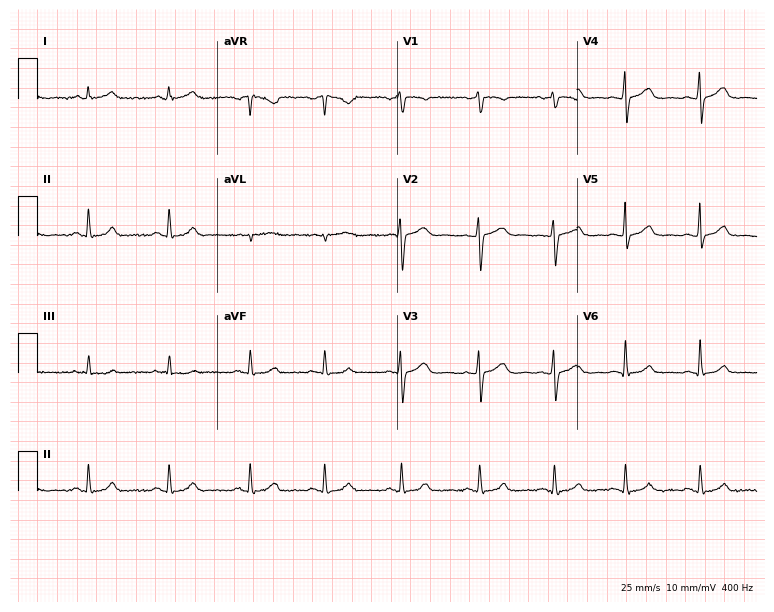
ECG (7.3-second recording at 400 Hz) — a female, 26 years old. Labelled as a normal ECG.